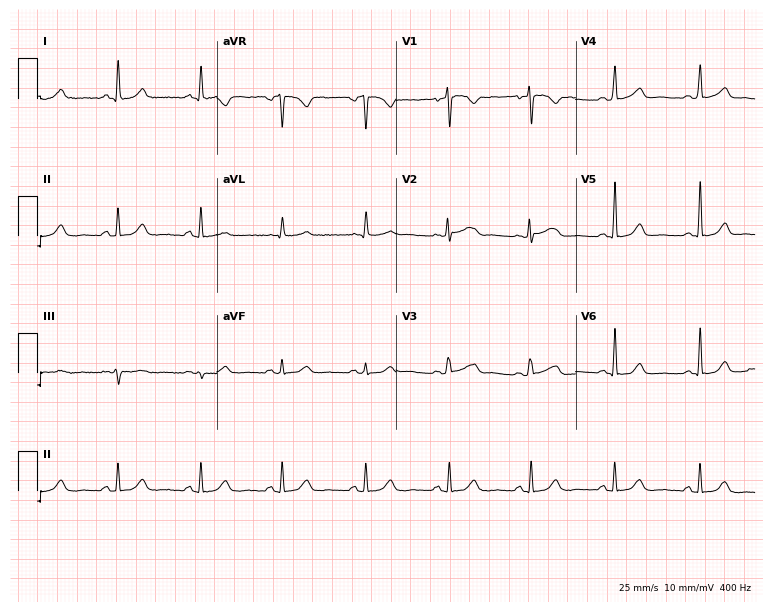
Resting 12-lead electrocardiogram (7.3-second recording at 400 Hz). Patient: a female, 48 years old. Read as a normal ECG.